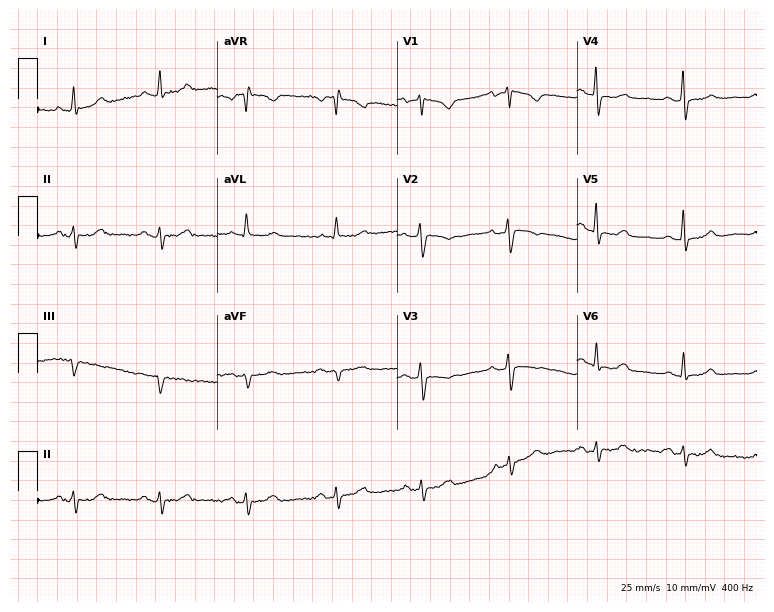
Standard 12-lead ECG recorded from a female patient, 61 years old. None of these six findings is recorded: first-degree AV block, right bundle branch block (RBBB), left bundle branch block (LBBB), sinus bradycardia, atrial fibrillation (AF), sinus tachycardia. Other findings, if any, are not listed.